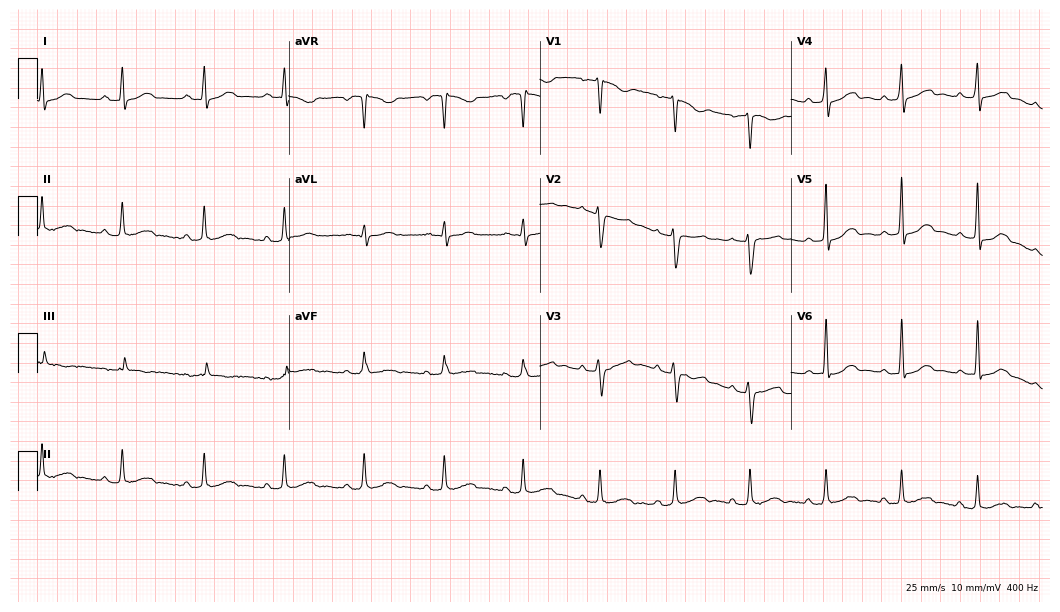
Resting 12-lead electrocardiogram. Patient: a female, 37 years old. Read as a normal ECG.